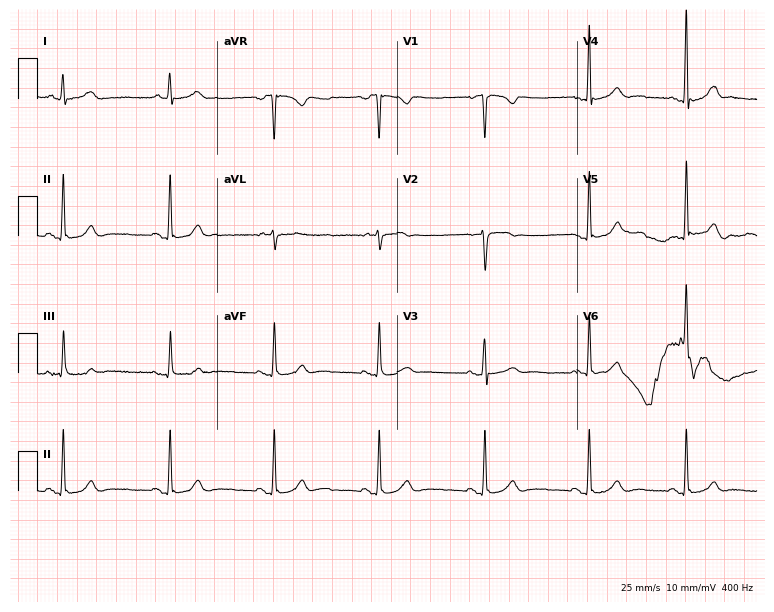
12-lead ECG from a 25-year-old female. Recorded interpretation: within normal limits.